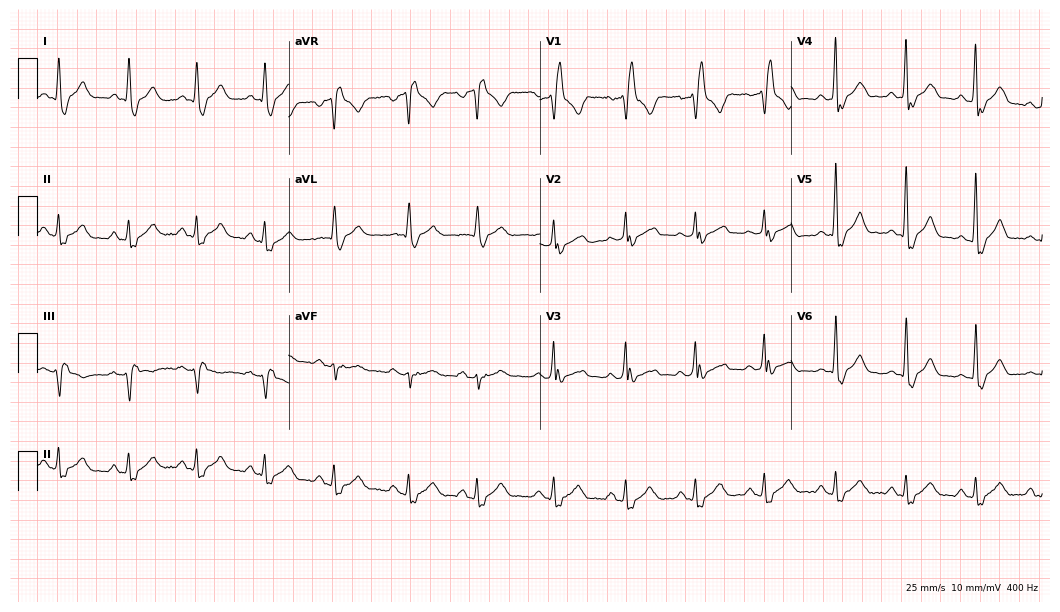
Standard 12-lead ECG recorded from a male patient, 68 years old (10.2-second recording at 400 Hz). The tracing shows right bundle branch block.